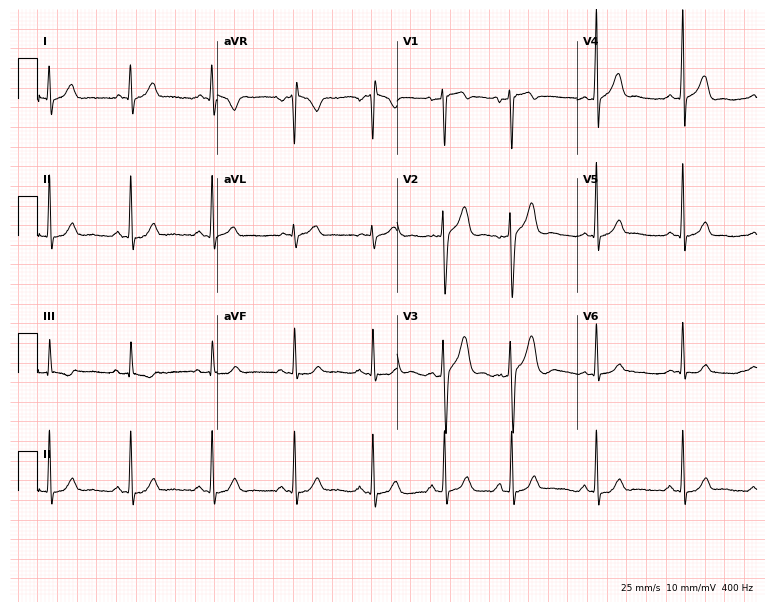
ECG (7.3-second recording at 400 Hz) — a 24-year-old male patient. Labelled as a normal ECG.